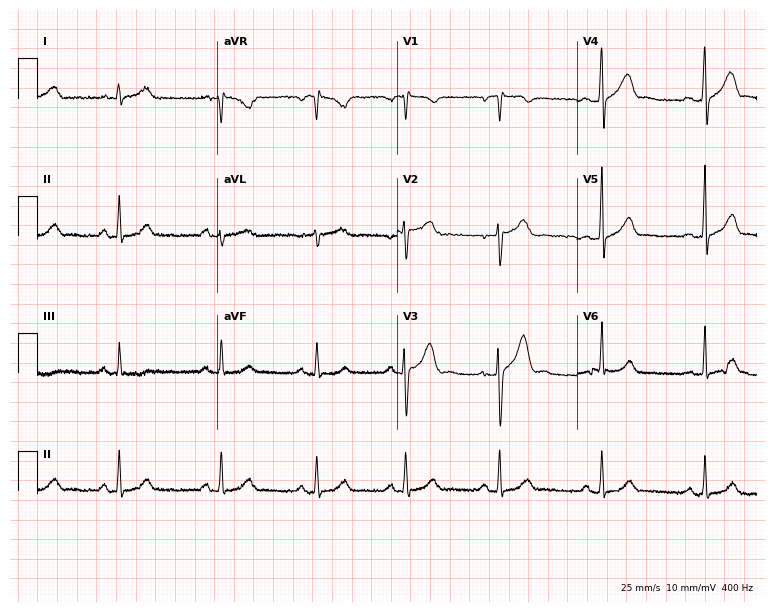
12-lead ECG from a male patient, 26 years old. Recorded interpretation: within normal limits.